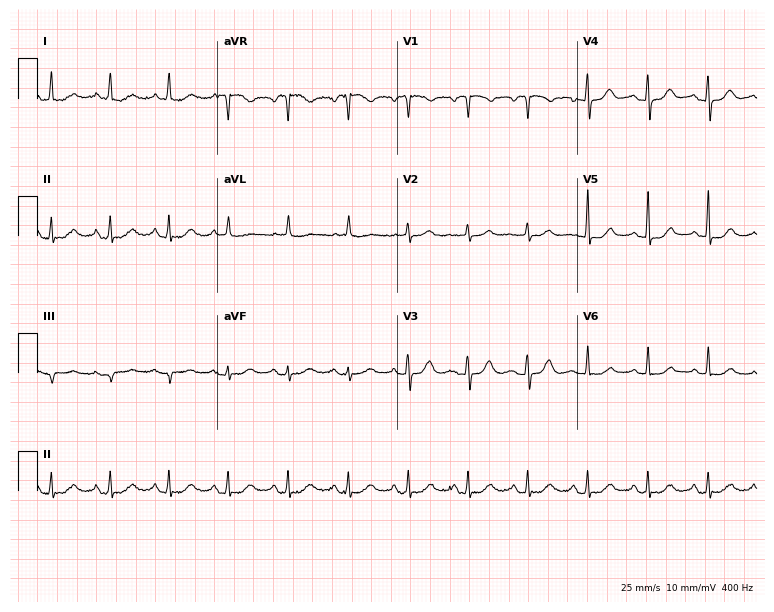
Electrocardiogram (7.3-second recording at 400 Hz), an 82-year-old woman. Of the six screened findings (first-degree AV block, right bundle branch block, left bundle branch block, sinus bradycardia, atrial fibrillation, sinus tachycardia), none is recorded.